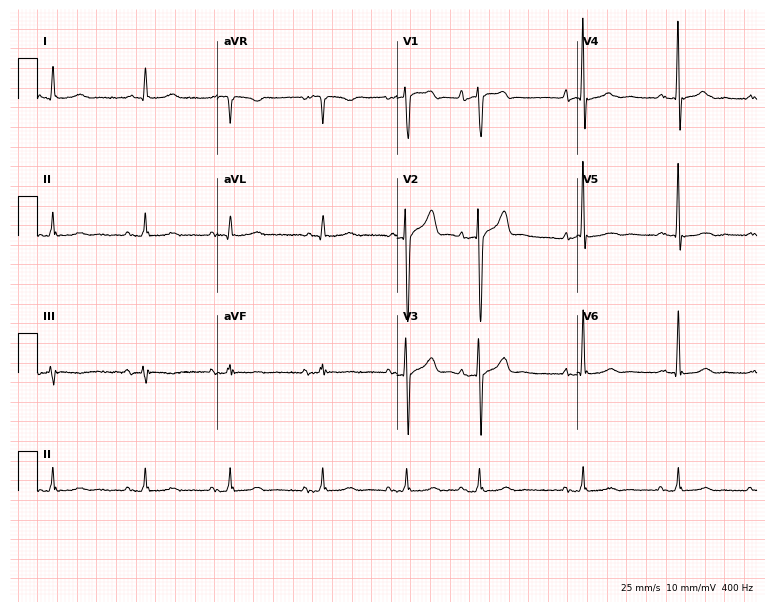
12-lead ECG (7.3-second recording at 400 Hz) from a 79-year-old male patient. Screened for six findings — first-degree AV block, right bundle branch block, left bundle branch block, sinus bradycardia, atrial fibrillation, sinus tachycardia — none is recorded.